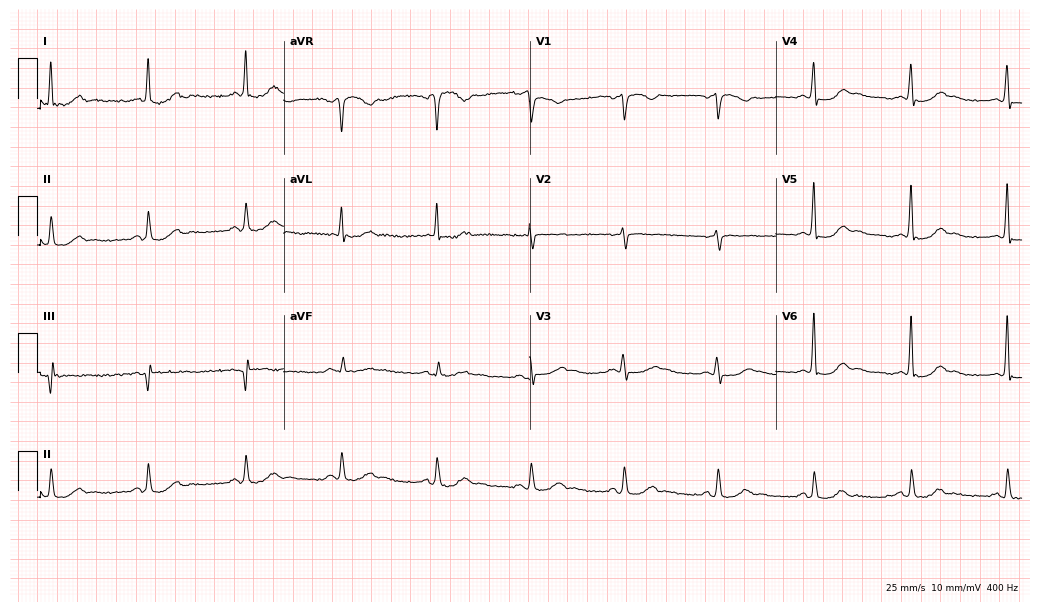
12-lead ECG from a male, 67 years old (10-second recording at 400 Hz). No first-degree AV block, right bundle branch block (RBBB), left bundle branch block (LBBB), sinus bradycardia, atrial fibrillation (AF) or sinus tachycardia recorded for this tracing.